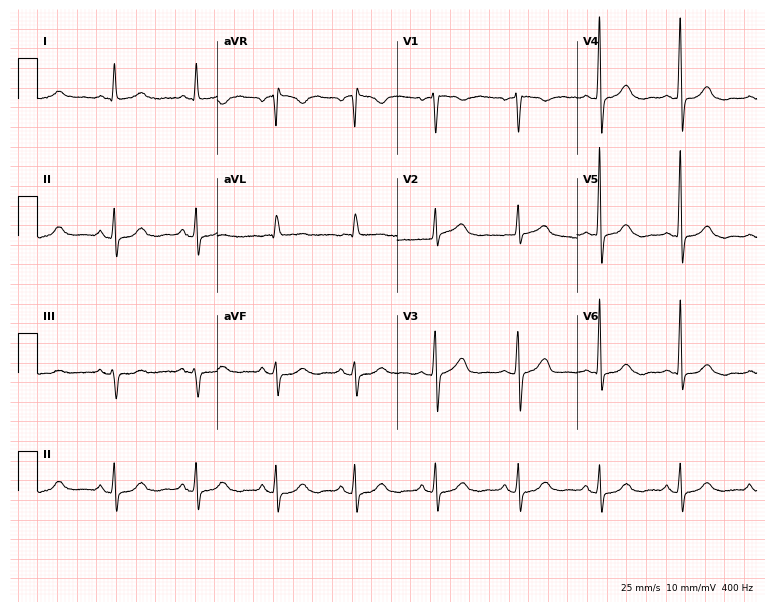
Standard 12-lead ECG recorded from a 63-year-old female patient. Read as a normal ECG.